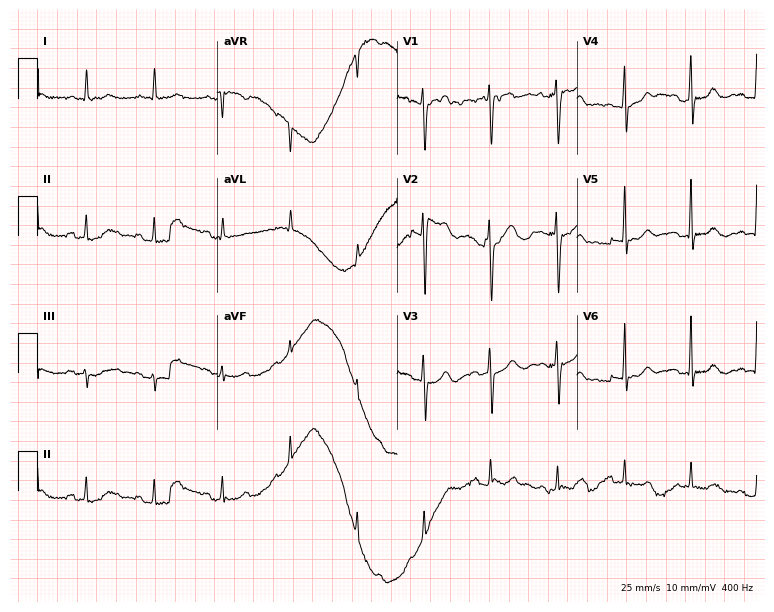
ECG (7.3-second recording at 400 Hz) — a female, 55 years old. Labelled as a normal ECG.